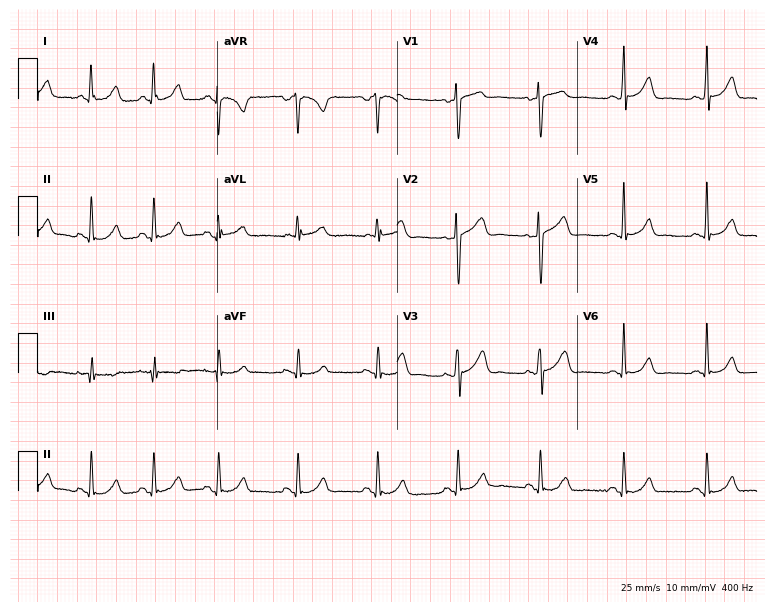
12-lead ECG from a 27-year-old woman (7.3-second recording at 400 Hz). Recorded interpretation: within normal limits.